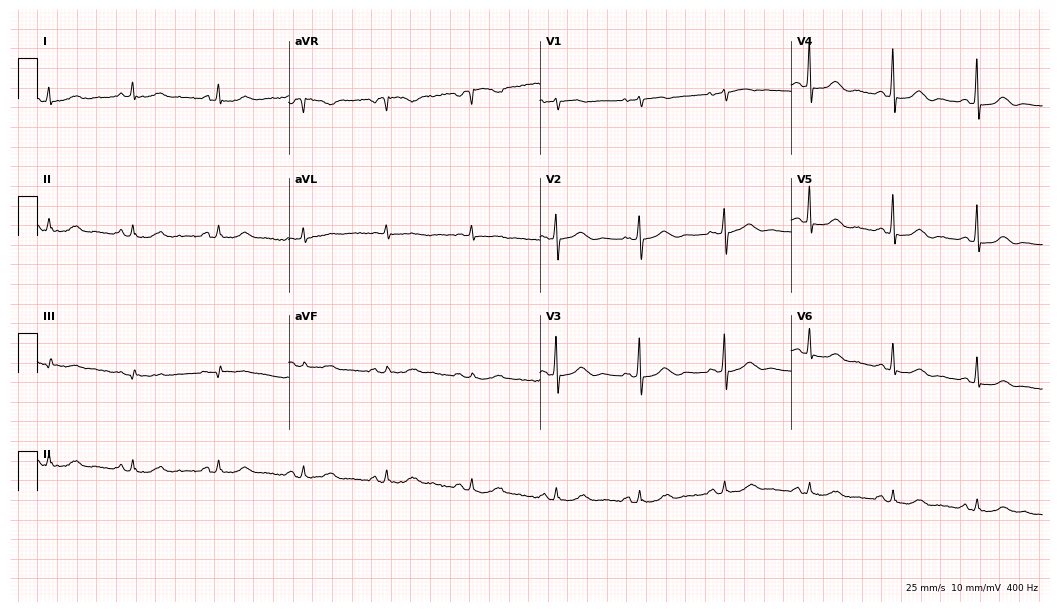
Resting 12-lead electrocardiogram (10.2-second recording at 400 Hz). Patient: a female, 79 years old. None of these six findings is recorded: first-degree AV block, right bundle branch block, left bundle branch block, sinus bradycardia, atrial fibrillation, sinus tachycardia.